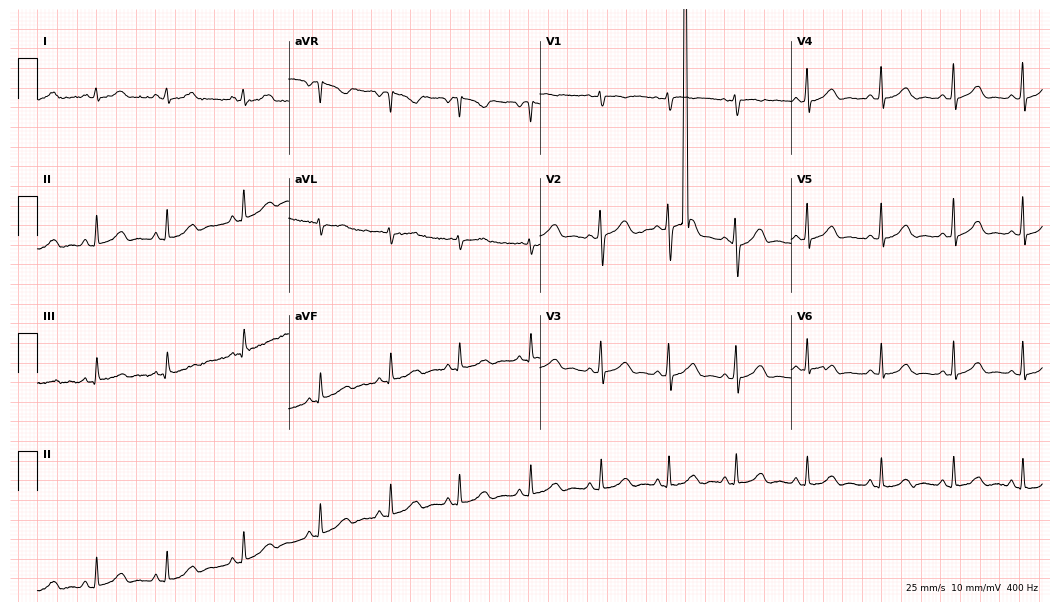
Resting 12-lead electrocardiogram. Patient: a woman, 42 years old. None of these six findings is recorded: first-degree AV block, right bundle branch block, left bundle branch block, sinus bradycardia, atrial fibrillation, sinus tachycardia.